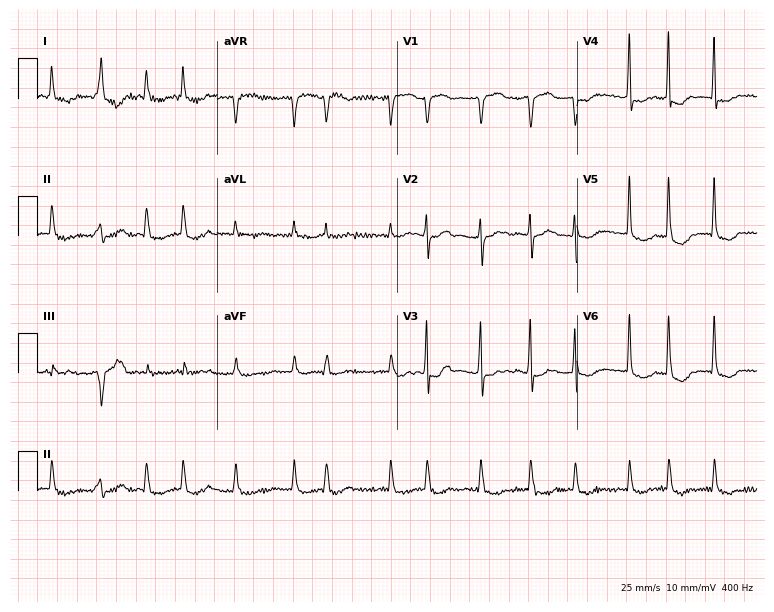
Standard 12-lead ECG recorded from a 75-year-old female patient. The tracing shows atrial fibrillation.